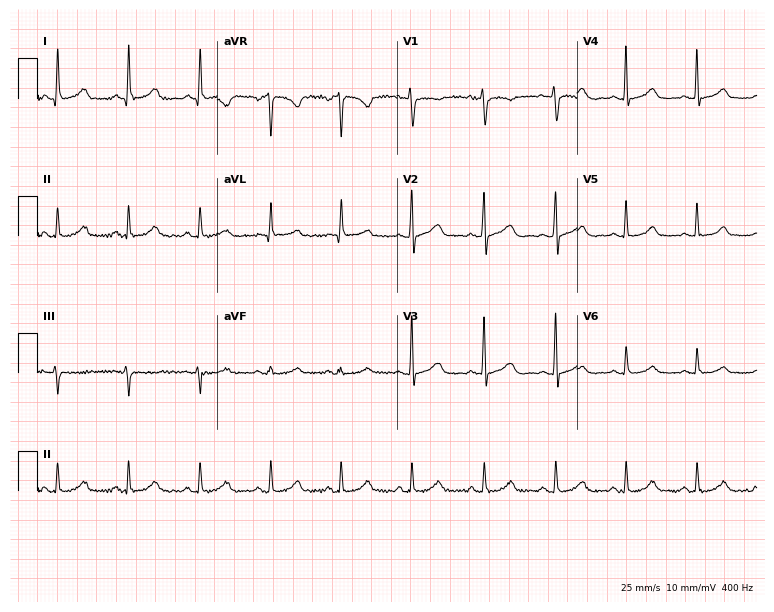
Standard 12-lead ECG recorded from a 56-year-old female patient (7.3-second recording at 400 Hz). None of these six findings is recorded: first-degree AV block, right bundle branch block (RBBB), left bundle branch block (LBBB), sinus bradycardia, atrial fibrillation (AF), sinus tachycardia.